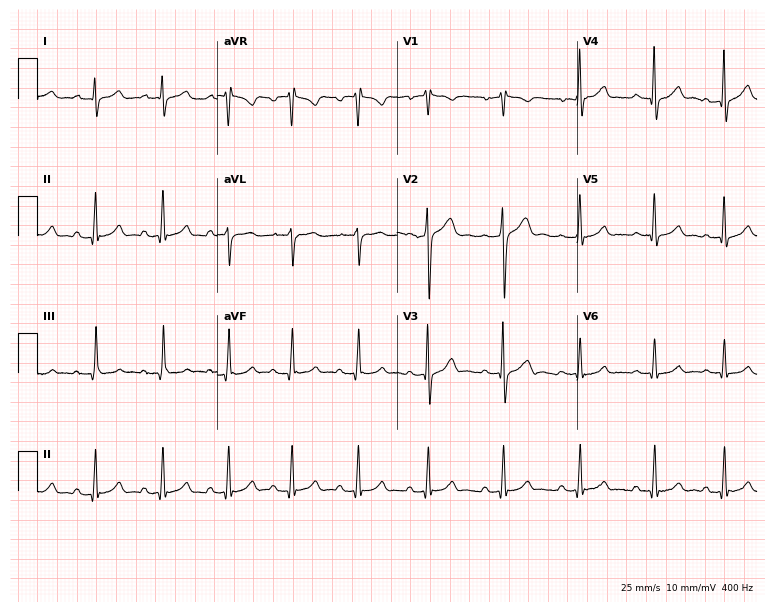
Standard 12-lead ECG recorded from a 35-year-old male patient (7.3-second recording at 400 Hz). Read as a normal ECG.